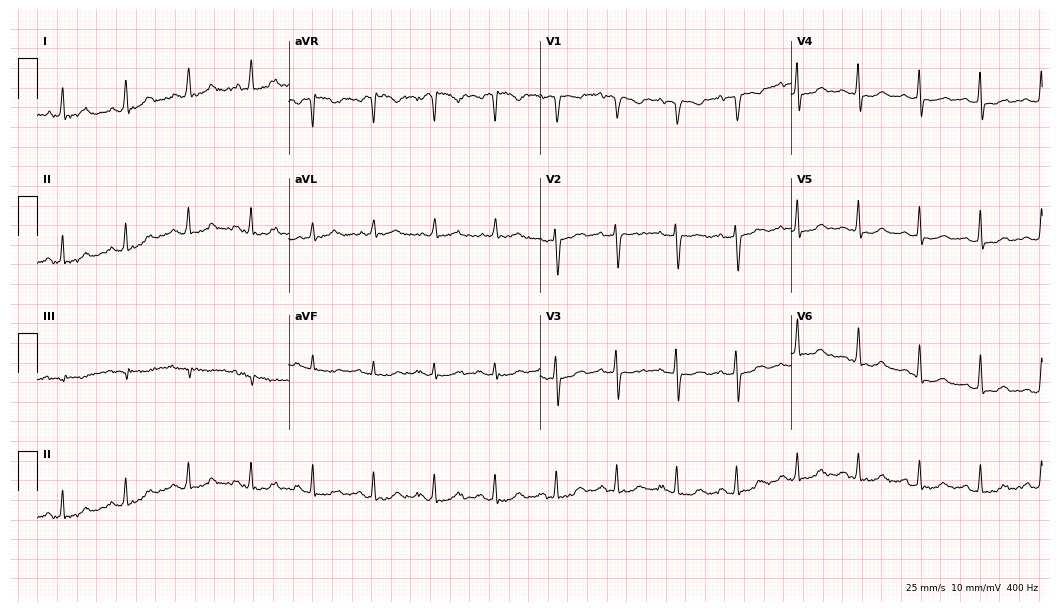
12-lead ECG from a female patient, 69 years old. No first-degree AV block, right bundle branch block (RBBB), left bundle branch block (LBBB), sinus bradycardia, atrial fibrillation (AF) or sinus tachycardia recorded for this tracing. Findings outside these six are not listed.